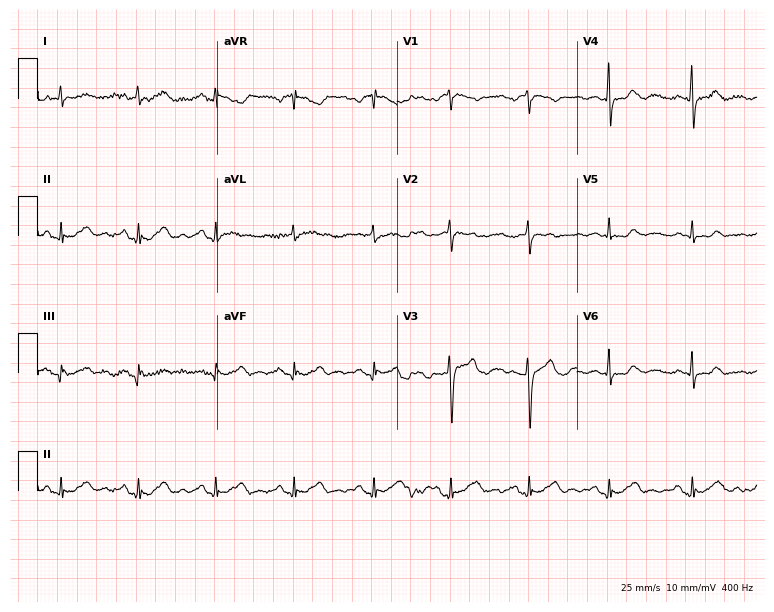
12-lead ECG (7.3-second recording at 400 Hz) from a female, 68 years old. Screened for six findings — first-degree AV block, right bundle branch block, left bundle branch block, sinus bradycardia, atrial fibrillation, sinus tachycardia — none is recorded. Findings outside these six are not listed.